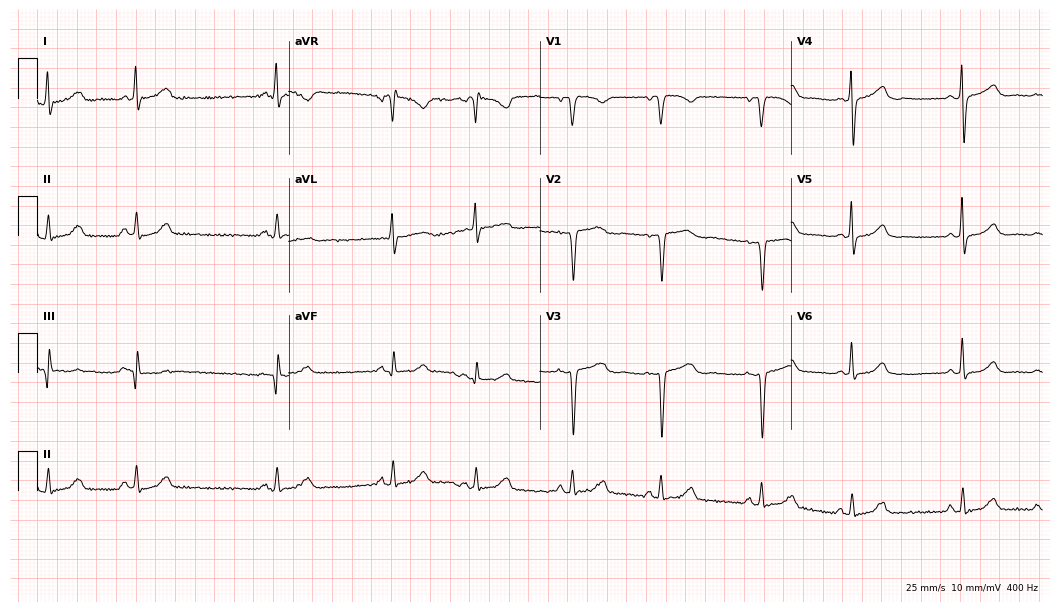
Electrocardiogram, a female patient, 50 years old. Of the six screened findings (first-degree AV block, right bundle branch block, left bundle branch block, sinus bradycardia, atrial fibrillation, sinus tachycardia), none is recorded.